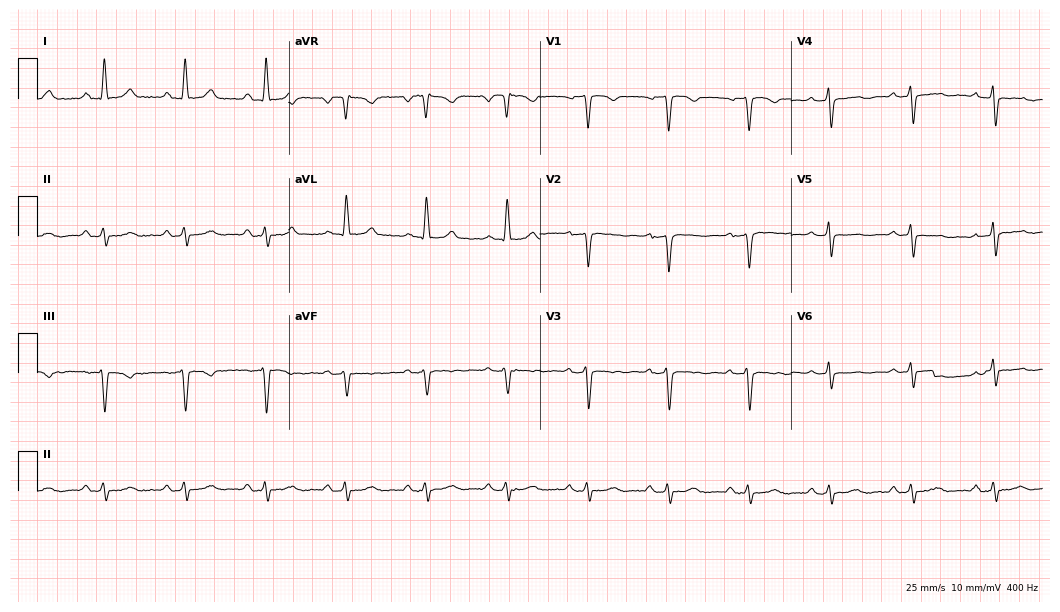
Standard 12-lead ECG recorded from a female patient, 71 years old (10.2-second recording at 400 Hz). None of these six findings is recorded: first-degree AV block, right bundle branch block, left bundle branch block, sinus bradycardia, atrial fibrillation, sinus tachycardia.